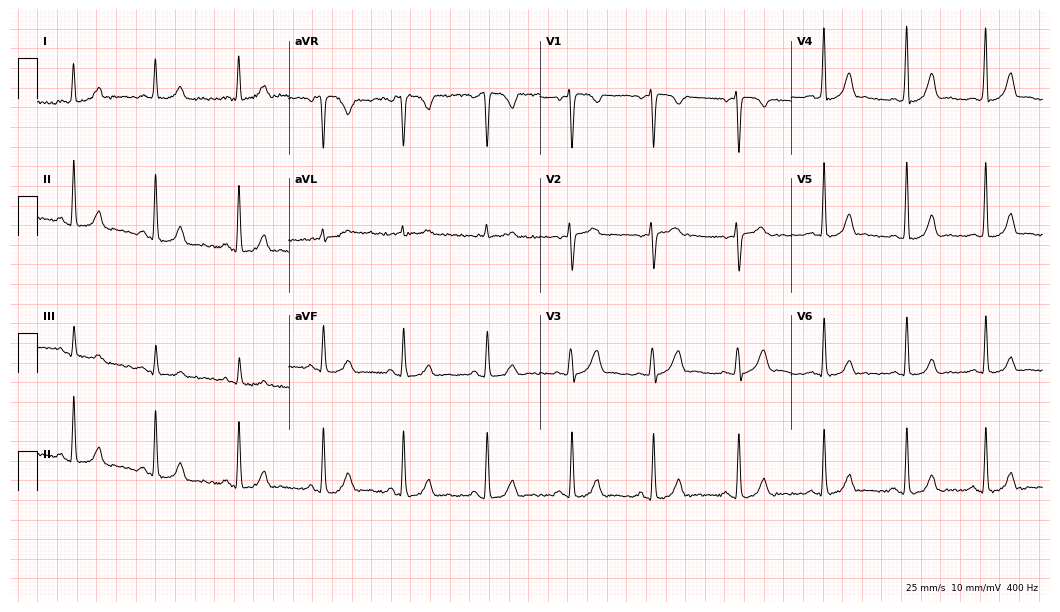
Electrocardiogram, a female patient, 36 years old. Of the six screened findings (first-degree AV block, right bundle branch block, left bundle branch block, sinus bradycardia, atrial fibrillation, sinus tachycardia), none is recorded. Other findings, if any, are not listed.